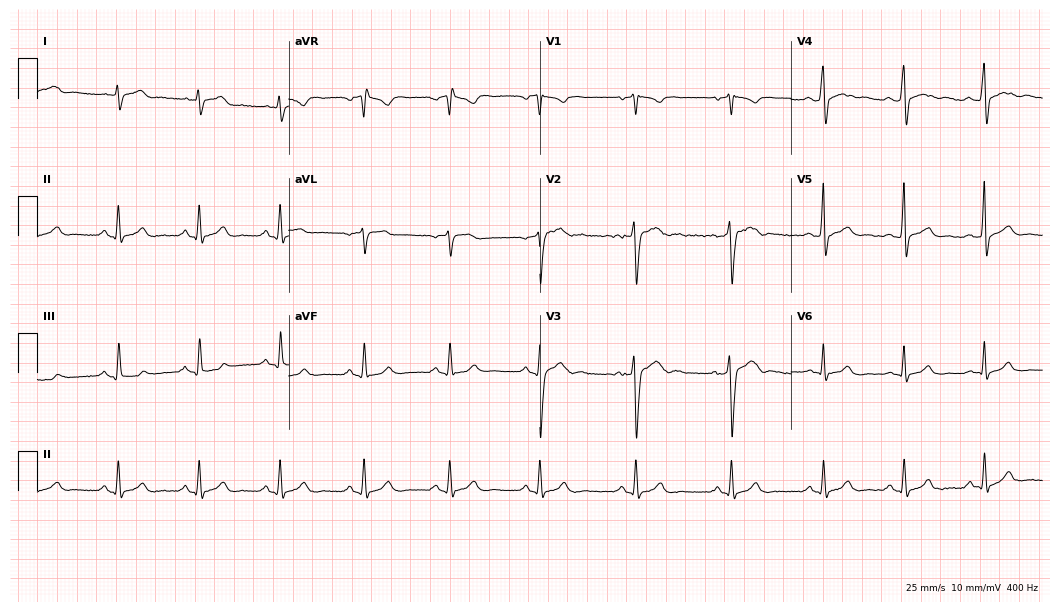
Resting 12-lead electrocardiogram (10.2-second recording at 400 Hz). Patient: a 29-year-old male. Read as a normal ECG.